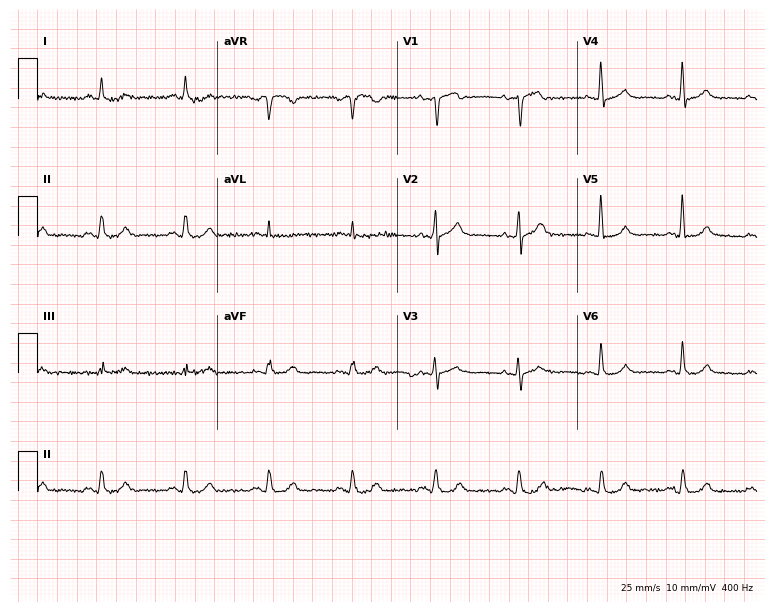
12-lead ECG from a male patient, 63 years old. No first-degree AV block, right bundle branch block (RBBB), left bundle branch block (LBBB), sinus bradycardia, atrial fibrillation (AF) or sinus tachycardia recorded for this tracing.